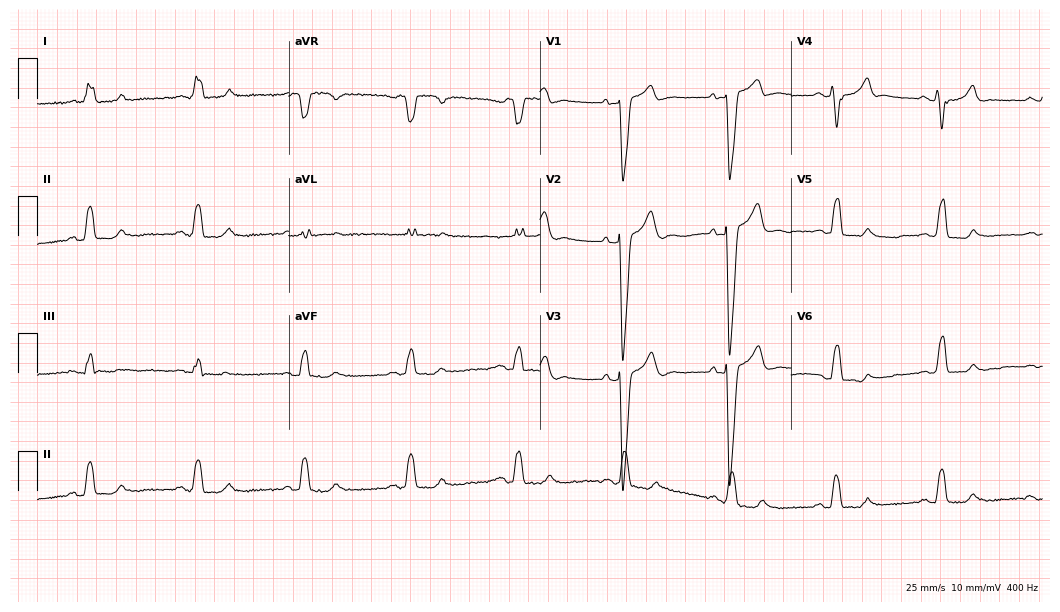
ECG — a male, 71 years old. Findings include left bundle branch block.